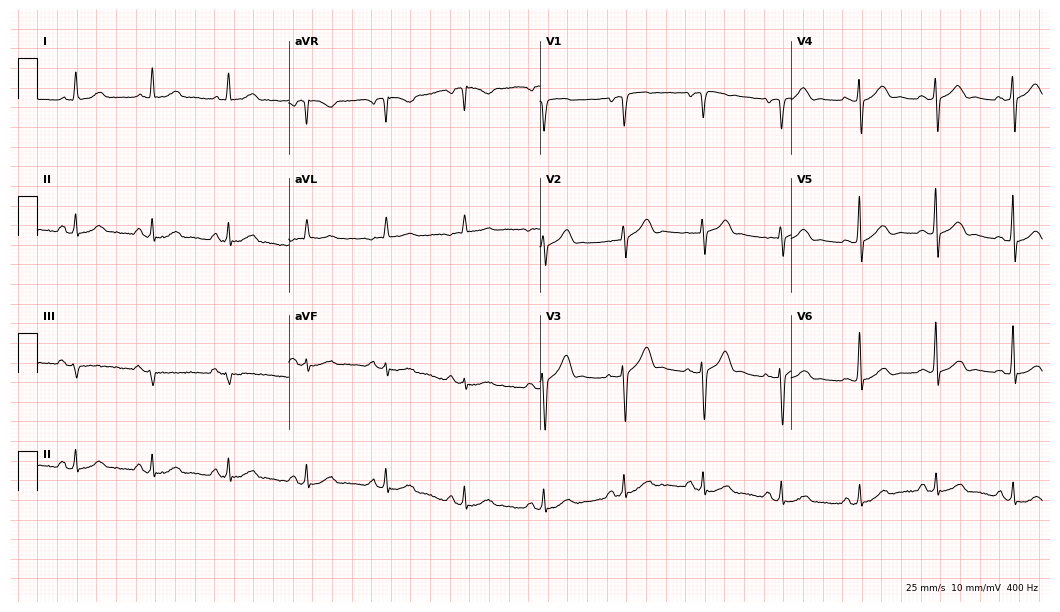
12-lead ECG from a man, 62 years old. Recorded interpretation: within normal limits.